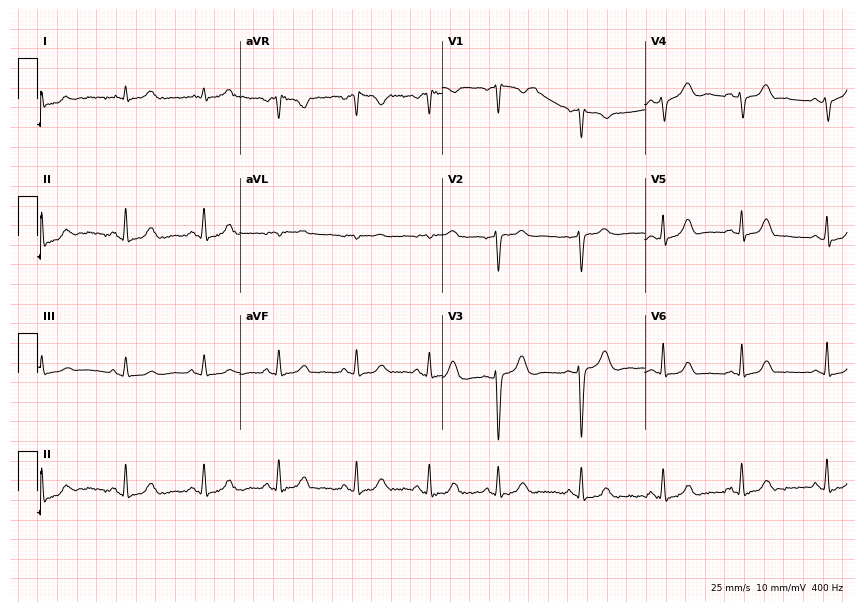
Resting 12-lead electrocardiogram (8.3-second recording at 400 Hz). Patient: a woman, 33 years old. None of these six findings is recorded: first-degree AV block, right bundle branch block, left bundle branch block, sinus bradycardia, atrial fibrillation, sinus tachycardia.